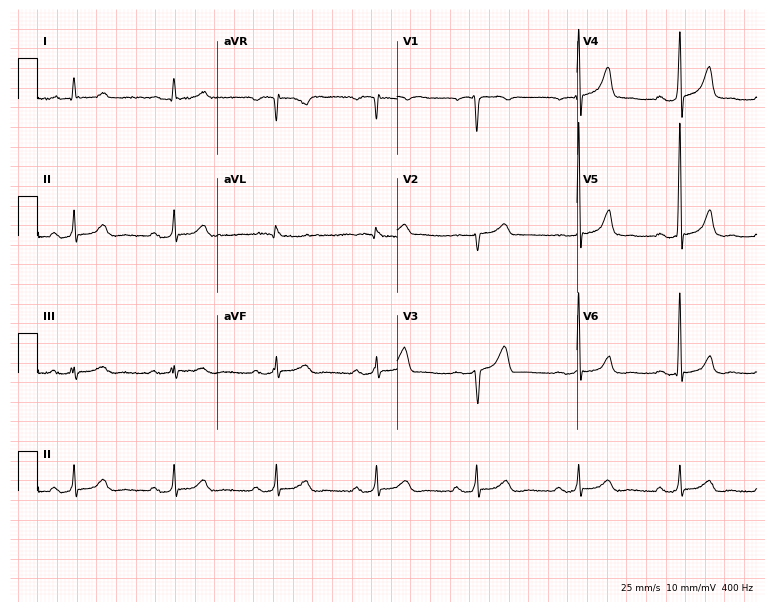
Electrocardiogram (7.3-second recording at 400 Hz), a 45-year-old female patient. Interpretation includes first-degree AV block.